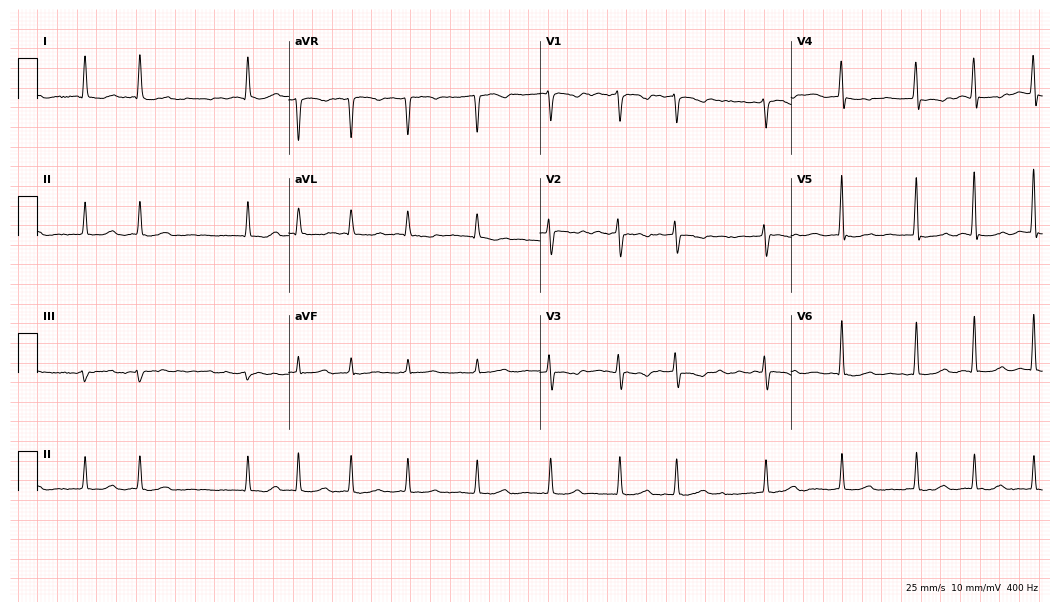
12-lead ECG from a female patient, 78 years old. Findings include atrial fibrillation.